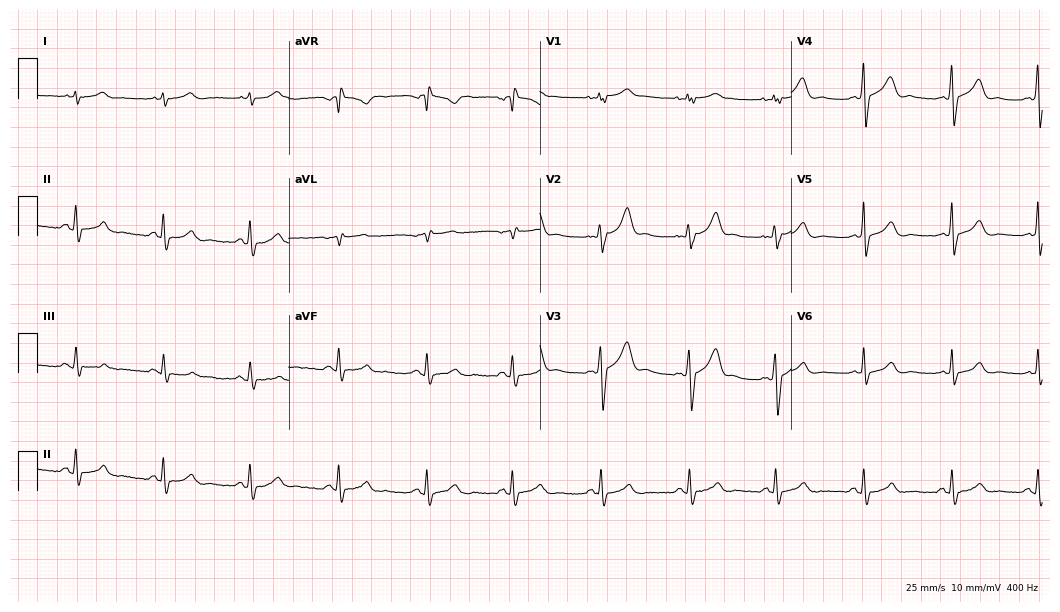
12-lead ECG from a 34-year-old man. Recorded interpretation: within normal limits.